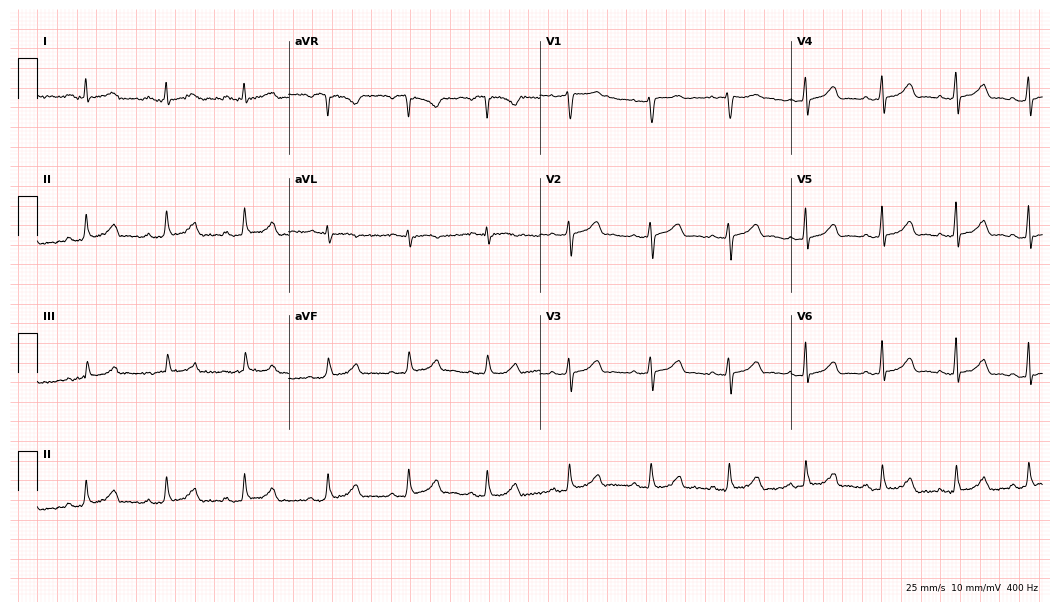
12-lead ECG from a female patient, 44 years old (10.2-second recording at 400 Hz). Recorded interpretation: within normal limits.